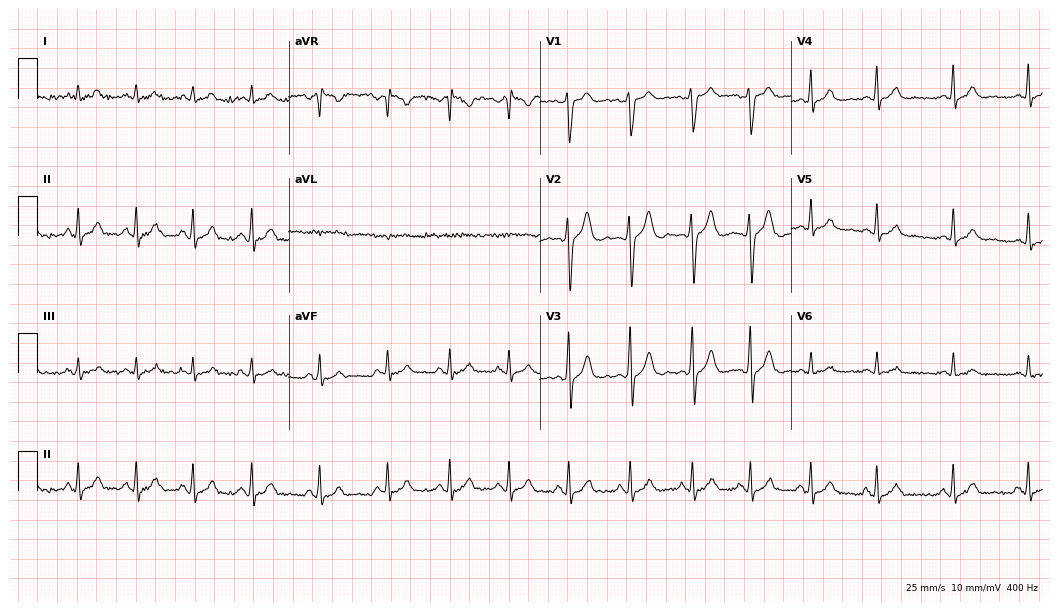
12-lead ECG from a 21-year-old man (10.2-second recording at 400 Hz). No first-degree AV block, right bundle branch block, left bundle branch block, sinus bradycardia, atrial fibrillation or sinus tachycardia recorded for this tracing.